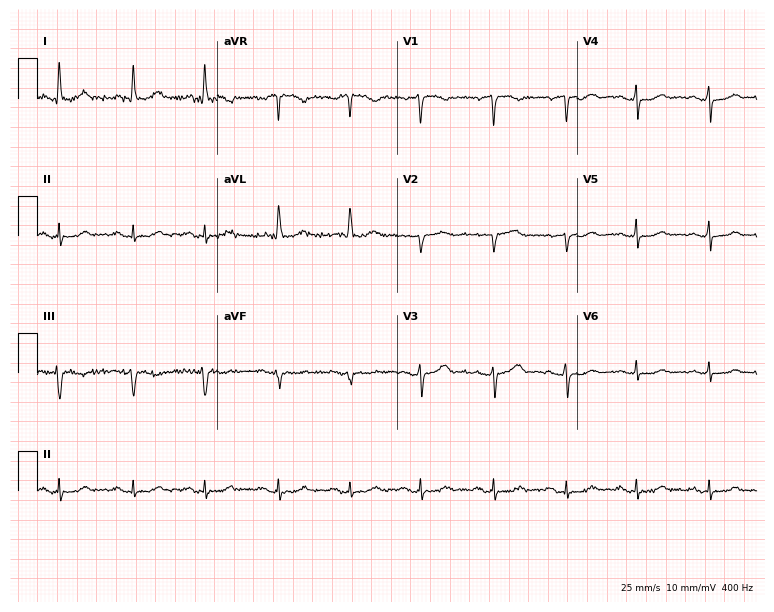
12-lead ECG from a 64-year-old female (7.3-second recording at 400 Hz). Recorded interpretation: within normal limits.